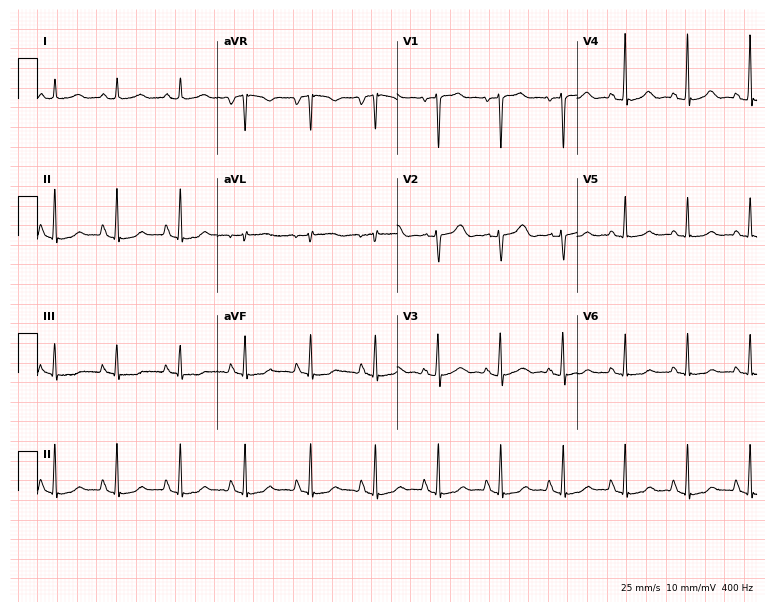
Electrocardiogram (7.3-second recording at 400 Hz), a 60-year-old female patient. Of the six screened findings (first-degree AV block, right bundle branch block, left bundle branch block, sinus bradycardia, atrial fibrillation, sinus tachycardia), none is recorded.